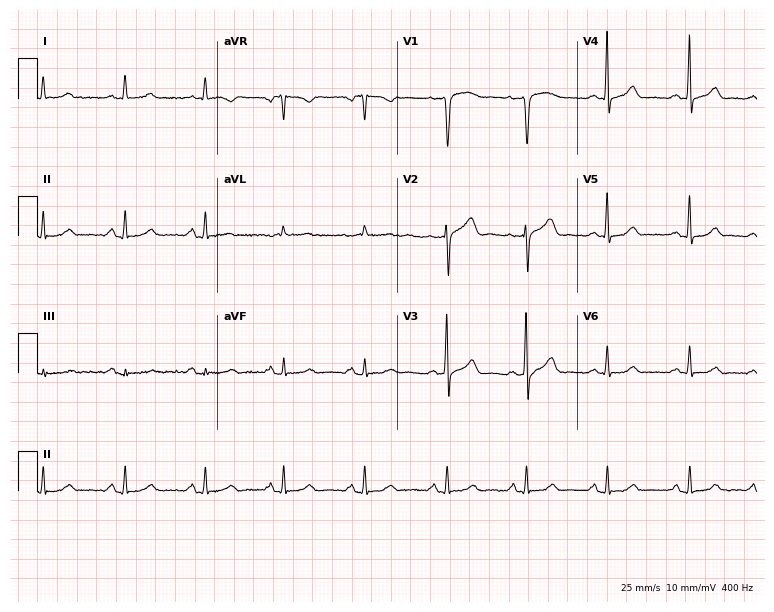
ECG (7.3-second recording at 400 Hz) — a female, 37 years old. Labelled as a normal ECG.